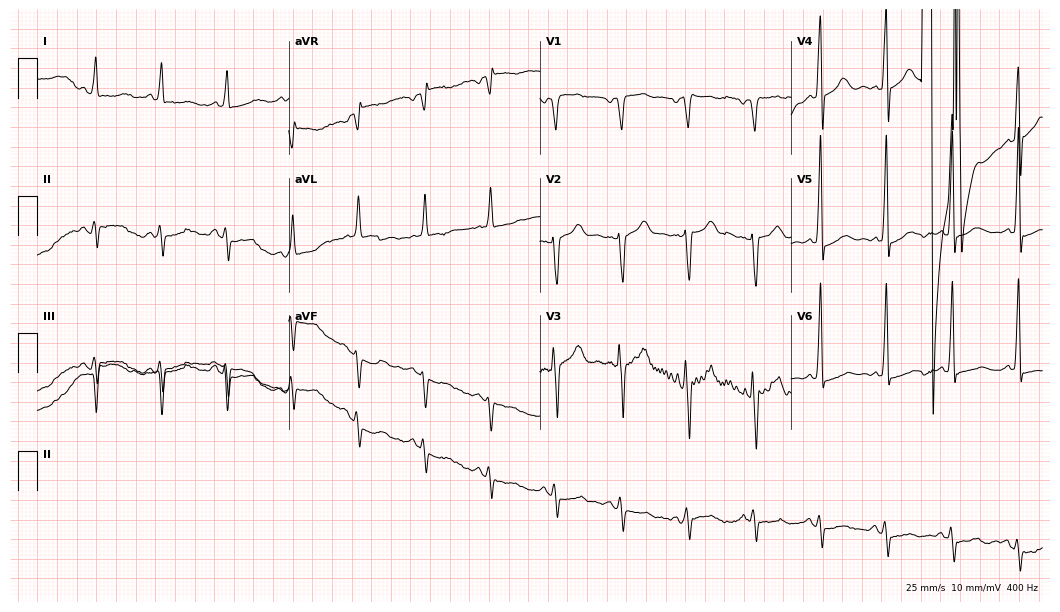
12-lead ECG (10.2-second recording at 400 Hz) from an 85-year-old man. Screened for six findings — first-degree AV block, right bundle branch block, left bundle branch block, sinus bradycardia, atrial fibrillation, sinus tachycardia — none is recorded. Other findings, if any, are not listed.